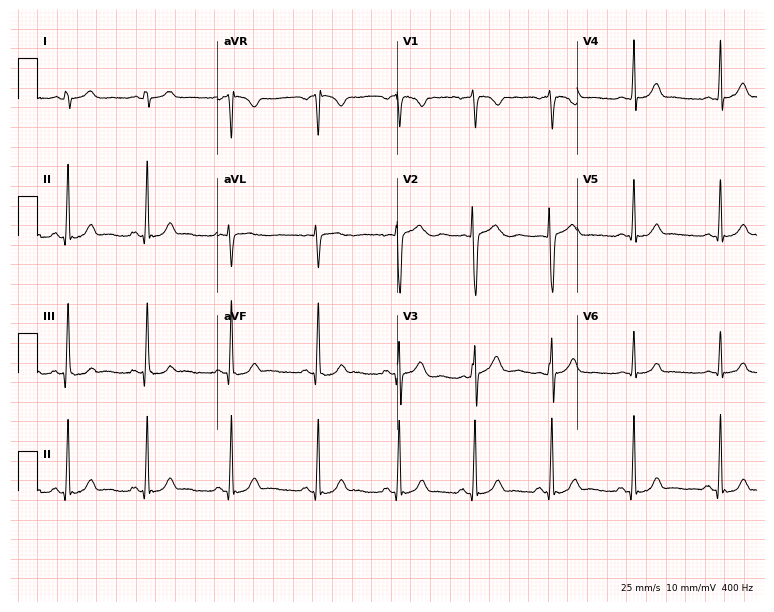
ECG (7.3-second recording at 400 Hz) — a 22-year-old female patient. Labelled as a normal ECG.